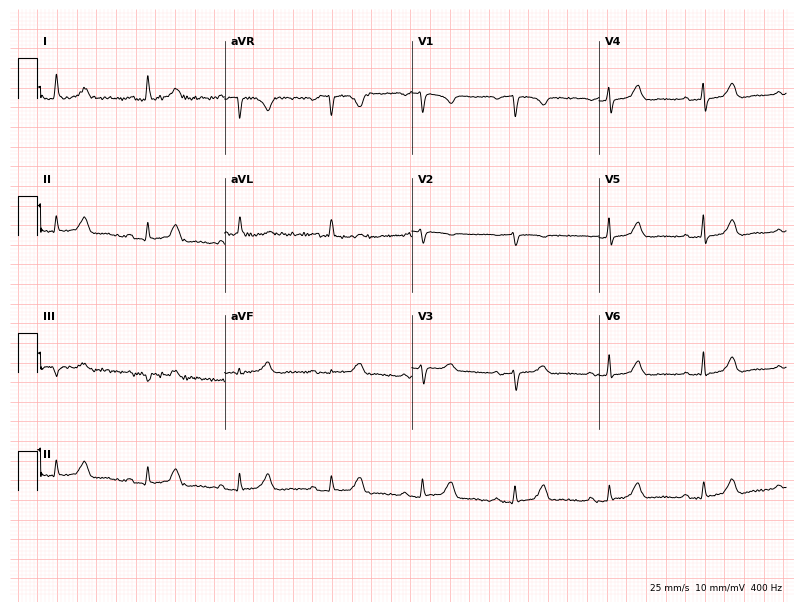
12-lead ECG (7.6-second recording at 400 Hz) from a 72-year-old woman. Labelled as a normal ECG.